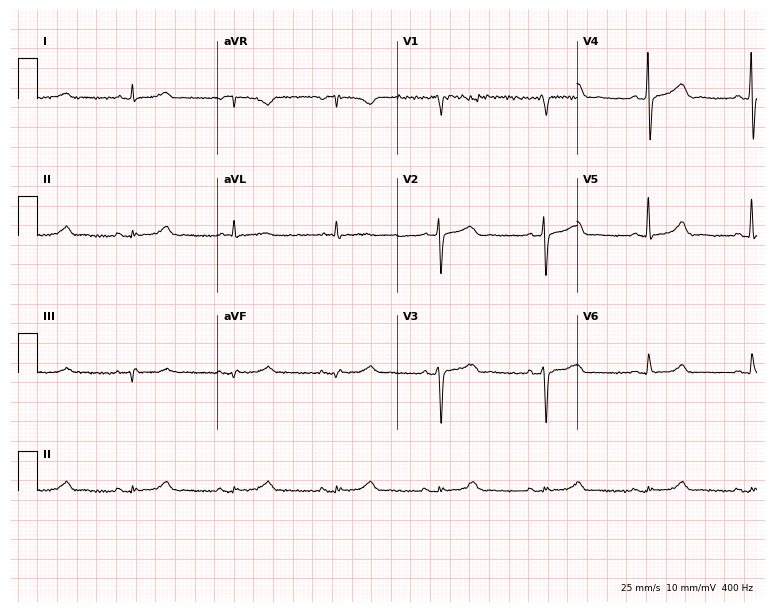
Resting 12-lead electrocardiogram (7.3-second recording at 400 Hz). Patient: a male, 72 years old. Read as a normal ECG.